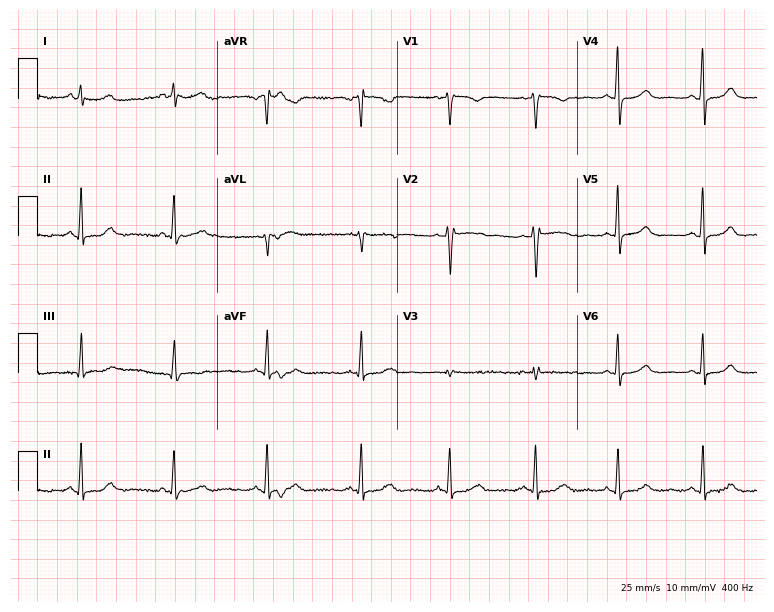
Standard 12-lead ECG recorded from a 47-year-old female (7.3-second recording at 400 Hz). Read as a normal ECG.